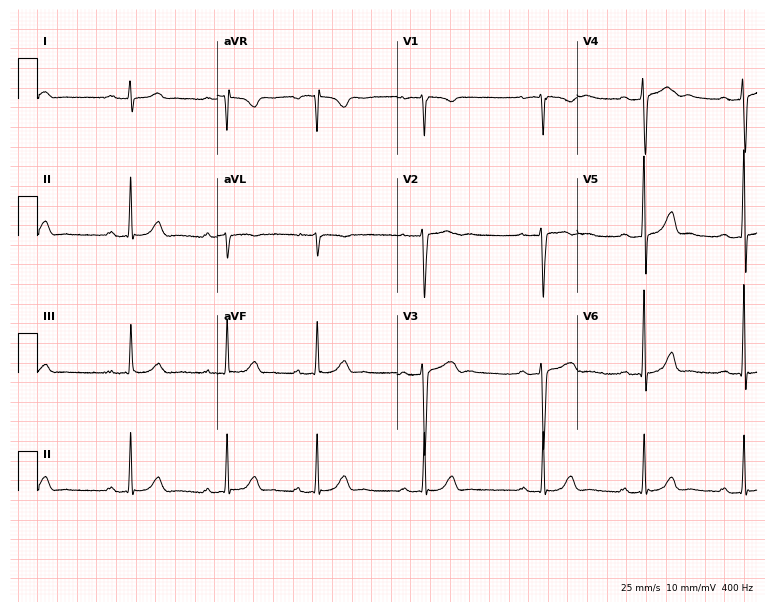
Standard 12-lead ECG recorded from a man, 24 years old. Read as a normal ECG.